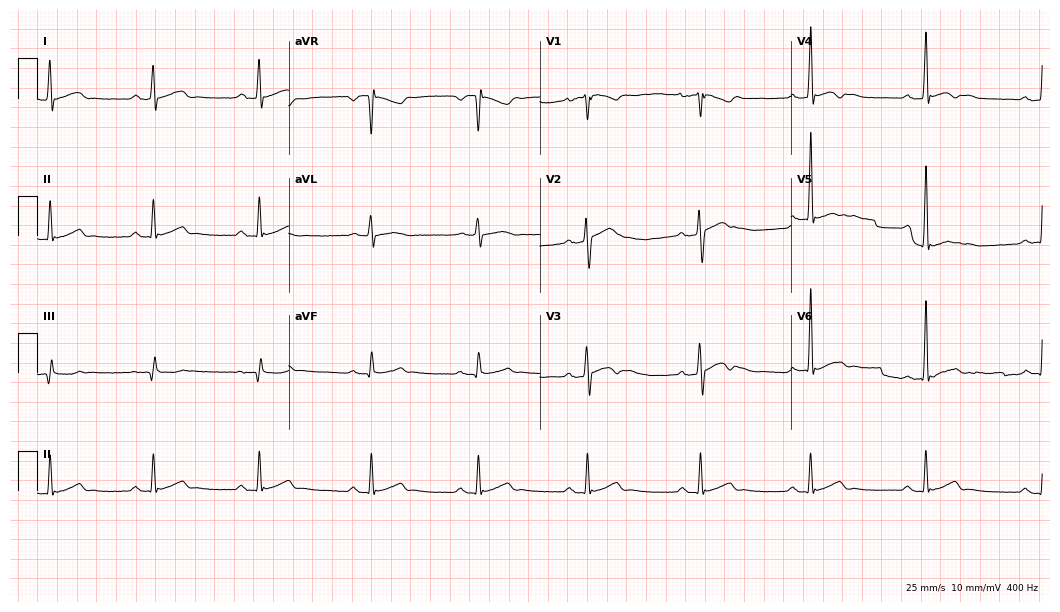
Electrocardiogram, a man, 33 years old. Of the six screened findings (first-degree AV block, right bundle branch block, left bundle branch block, sinus bradycardia, atrial fibrillation, sinus tachycardia), none is recorded. Findings outside these six are not listed.